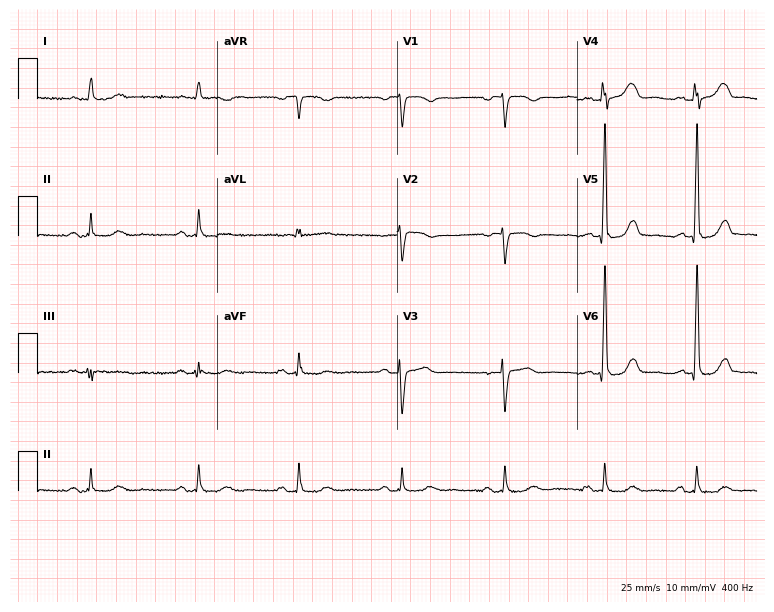
Standard 12-lead ECG recorded from a 73-year-old female patient (7.3-second recording at 400 Hz). None of these six findings is recorded: first-degree AV block, right bundle branch block, left bundle branch block, sinus bradycardia, atrial fibrillation, sinus tachycardia.